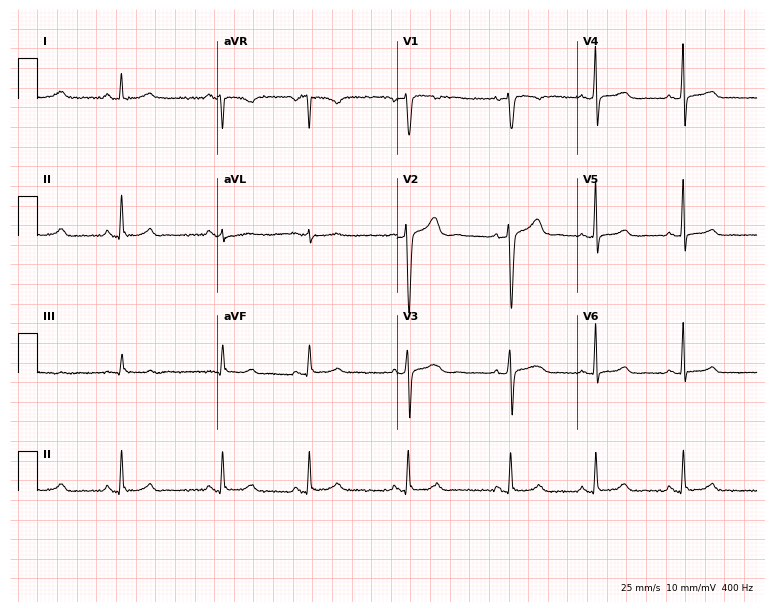
12-lead ECG (7.3-second recording at 400 Hz) from a 35-year-old woman. Labelled as a normal ECG.